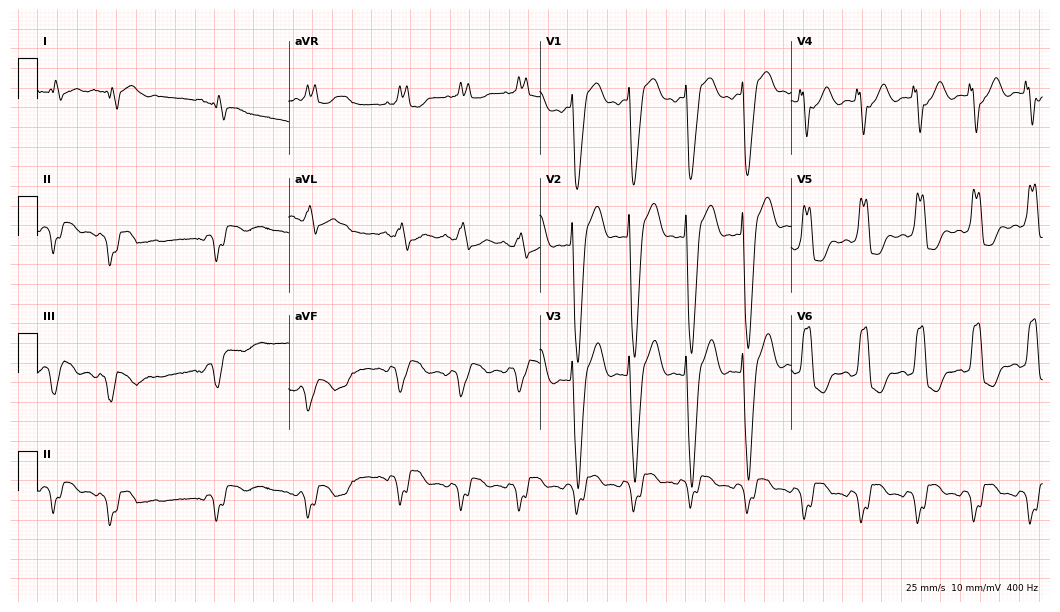
Standard 12-lead ECG recorded from an 82-year-old female (10.2-second recording at 400 Hz). The tracing shows left bundle branch block.